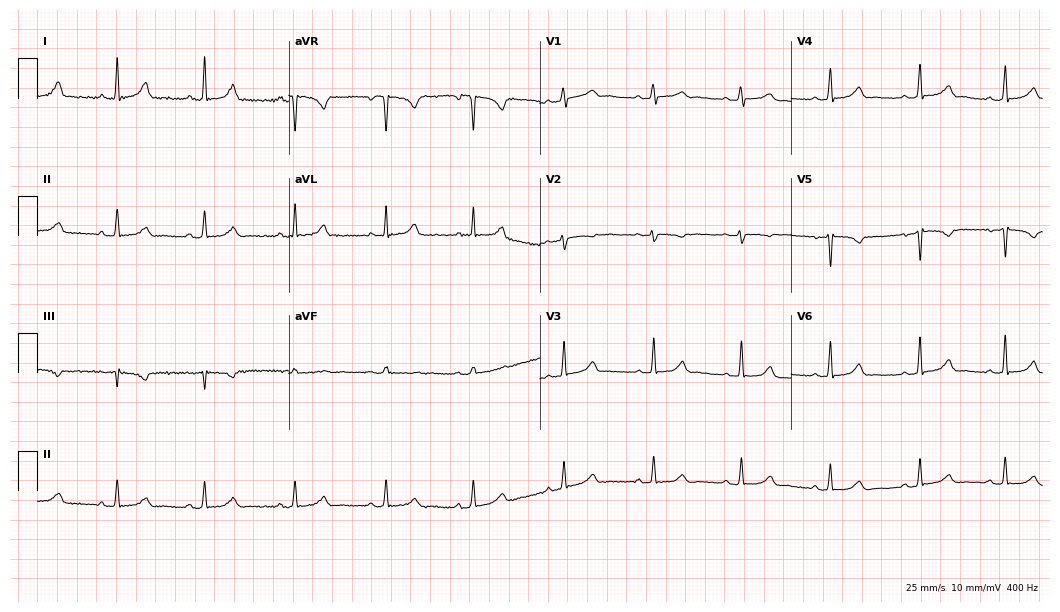
Standard 12-lead ECG recorded from a woman, 48 years old (10.2-second recording at 400 Hz). Read as a normal ECG.